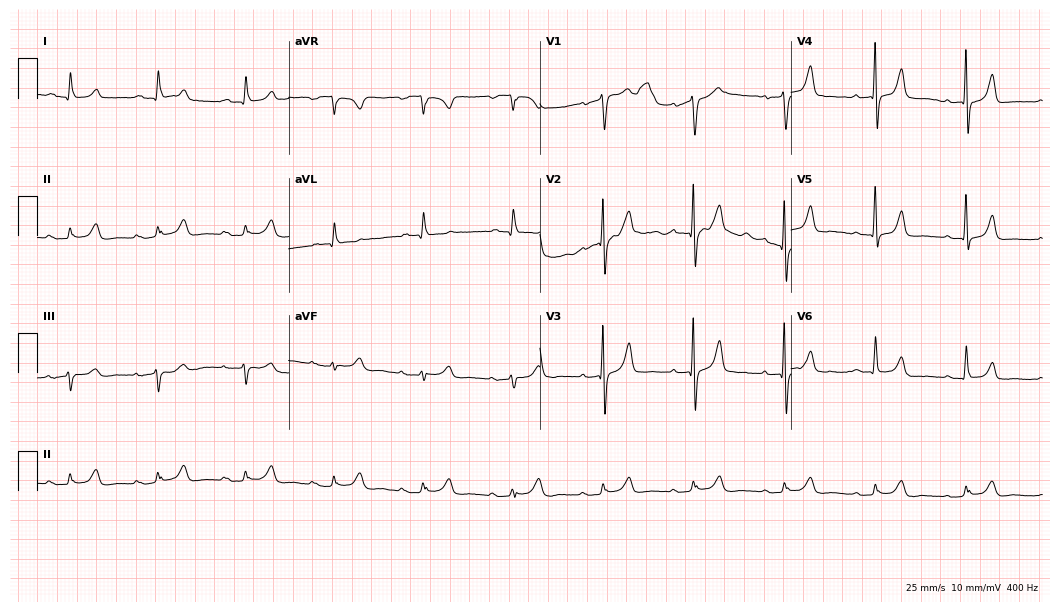
Electrocardiogram, an 81-year-old male. Overall reading on record: normal ECG.